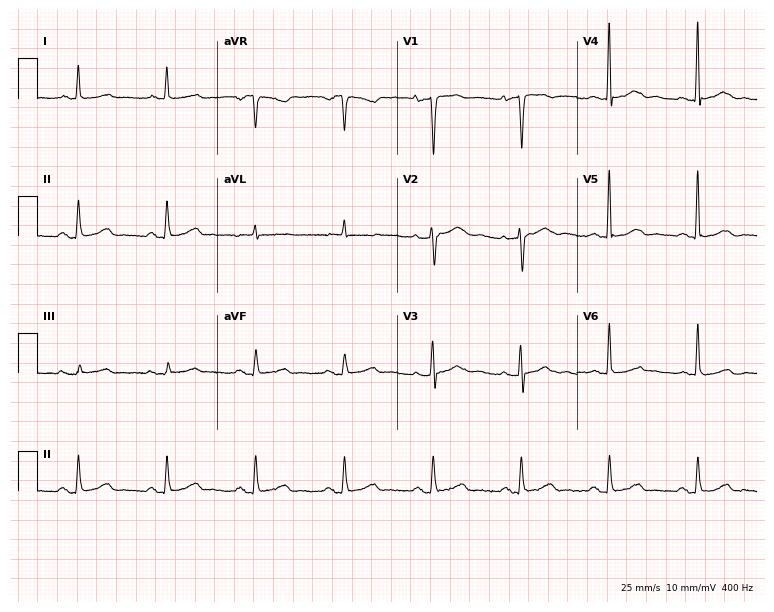
Resting 12-lead electrocardiogram (7.3-second recording at 400 Hz). Patient: a female, 76 years old. Read as a normal ECG.